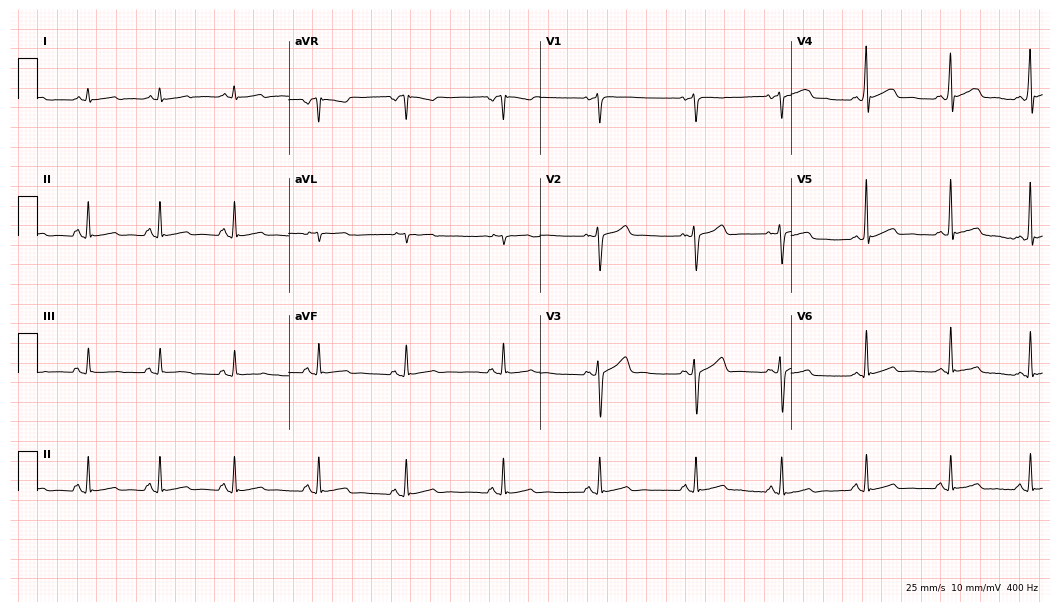
ECG — a woman, 24 years old. Screened for six findings — first-degree AV block, right bundle branch block (RBBB), left bundle branch block (LBBB), sinus bradycardia, atrial fibrillation (AF), sinus tachycardia — none is recorded. Findings outside these six are not listed.